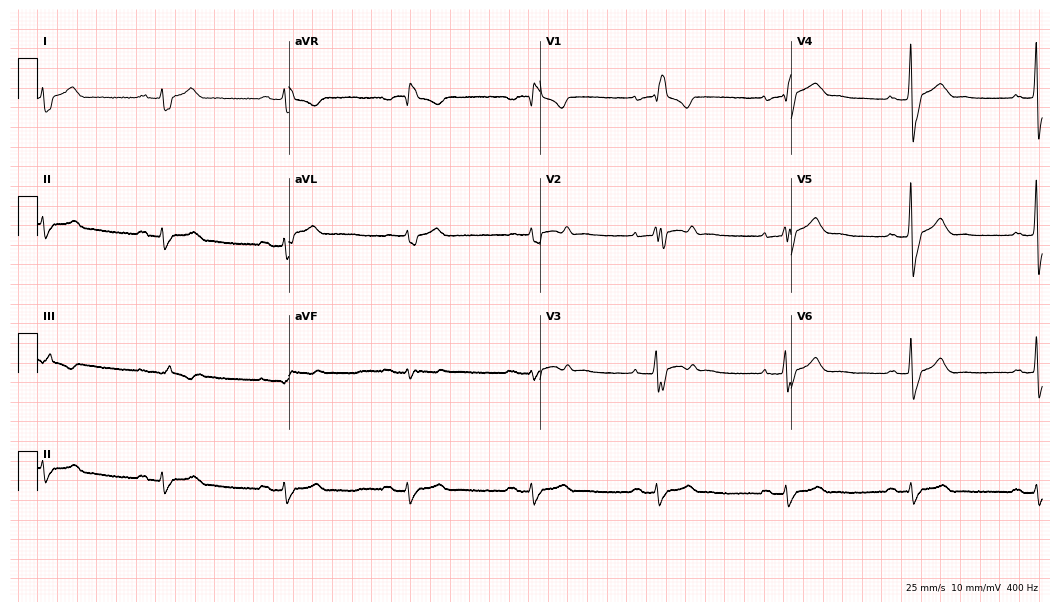
12-lead ECG from a 40-year-old man. Findings include right bundle branch block.